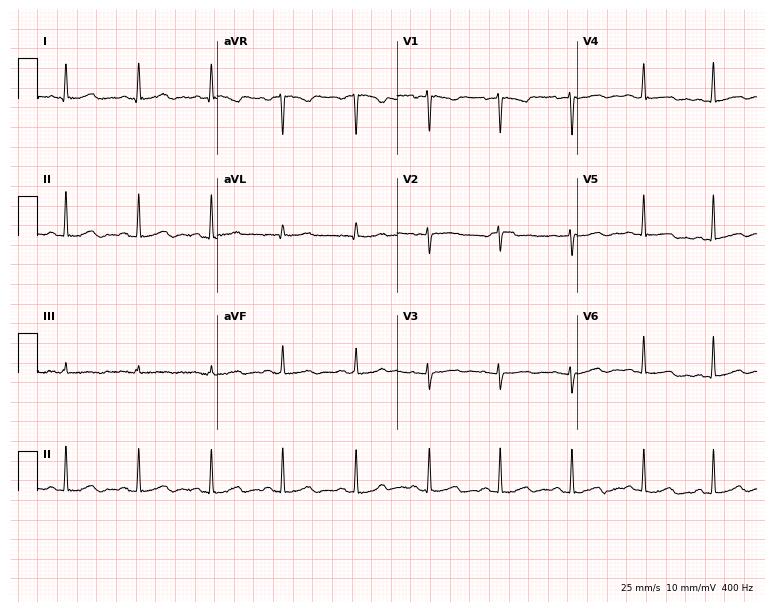
ECG (7.3-second recording at 400 Hz) — a female patient, 35 years old. Screened for six findings — first-degree AV block, right bundle branch block, left bundle branch block, sinus bradycardia, atrial fibrillation, sinus tachycardia — none is recorded. Findings outside these six are not listed.